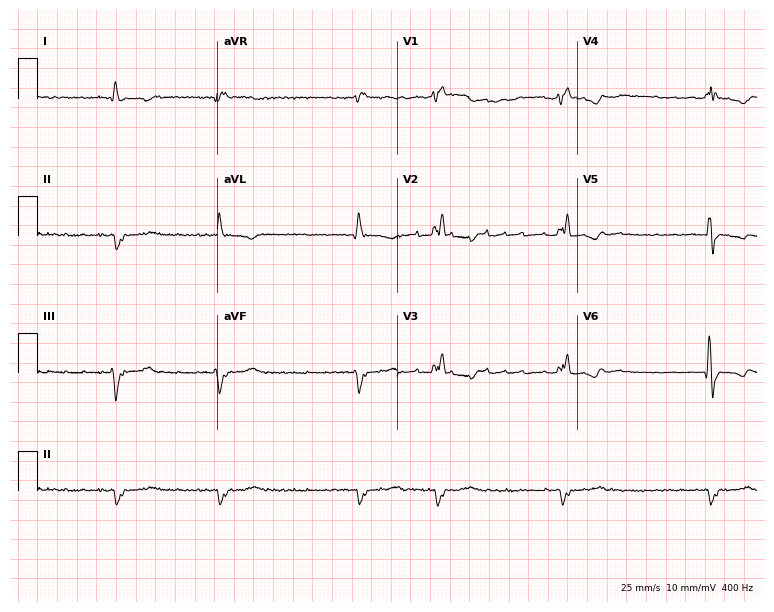
12-lead ECG from an 81-year-old male patient (7.3-second recording at 400 Hz). Shows right bundle branch block (RBBB), atrial fibrillation (AF).